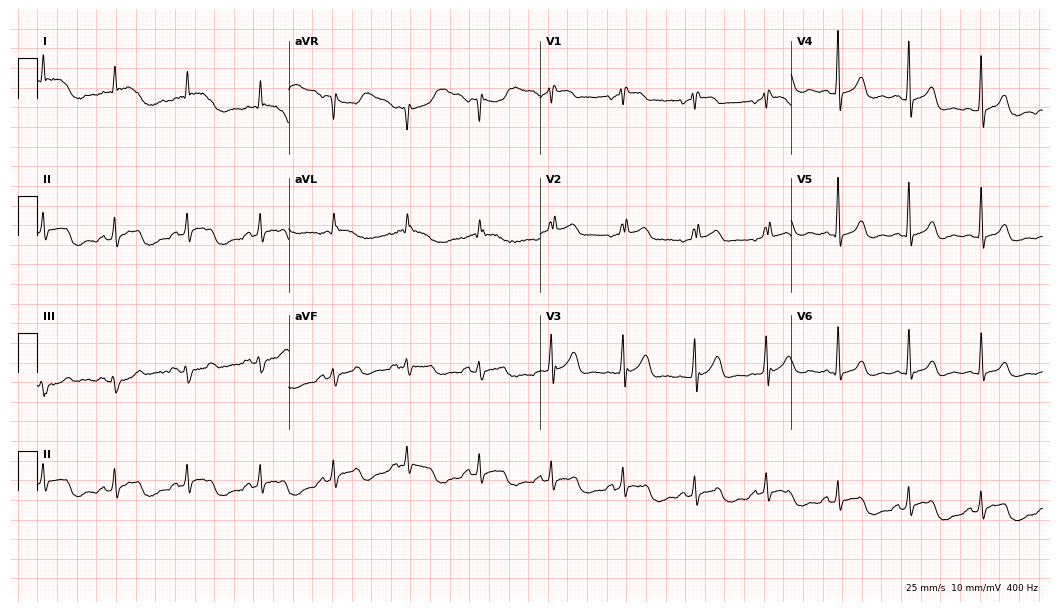
Standard 12-lead ECG recorded from a female patient, 74 years old (10.2-second recording at 400 Hz). None of these six findings is recorded: first-degree AV block, right bundle branch block (RBBB), left bundle branch block (LBBB), sinus bradycardia, atrial fibrillation (AF), sinus tachycardia. Only these six findings were labelled.